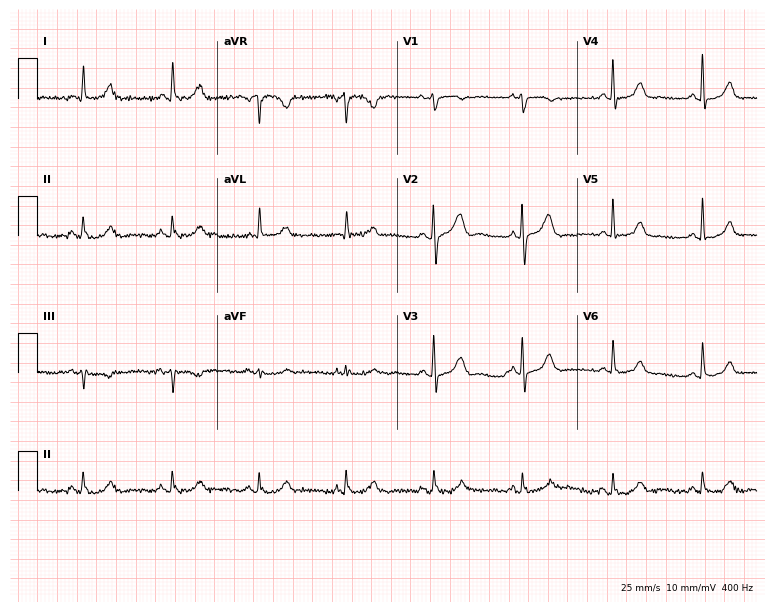
Resting 12-lead electrocardiogram. Patient: a female, 65 years old. Read as a normal ECG.